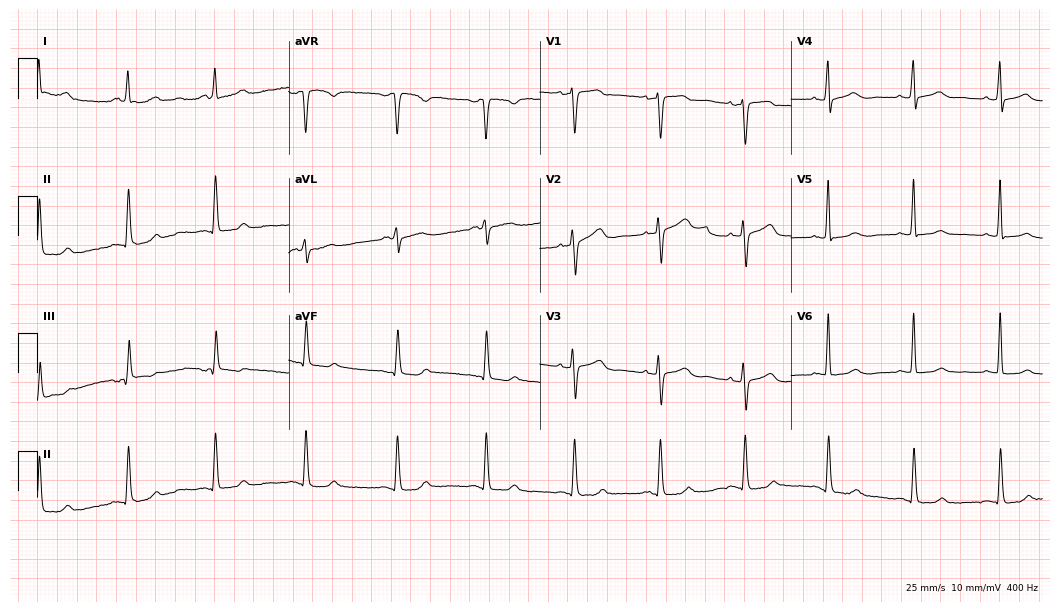
Electrocardiogram (10.2-second recording at 400 Hz), a female patient, 54 years old. Overall reading on record: normal ECG.